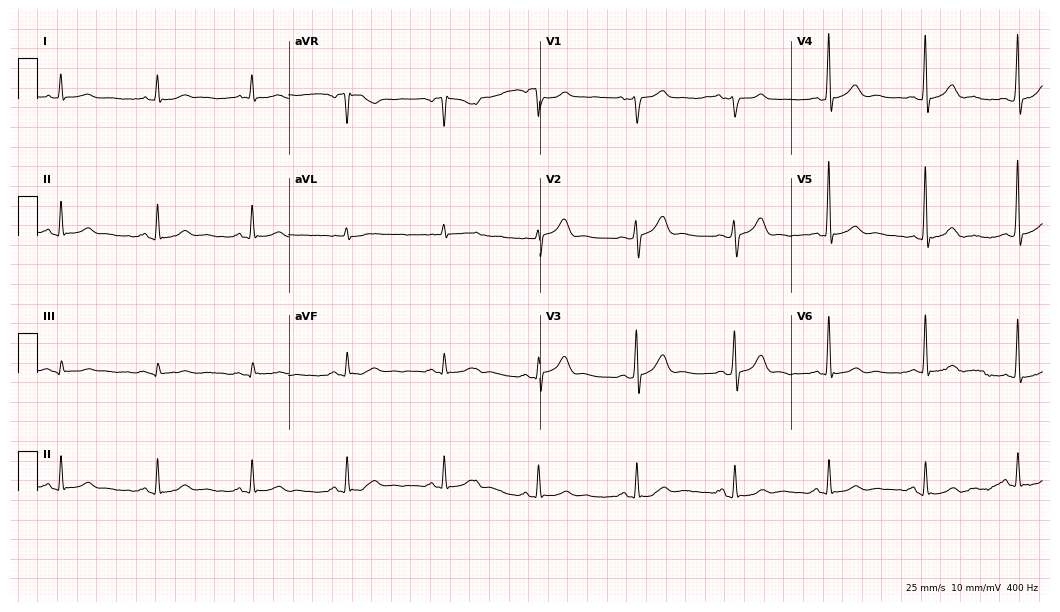
12-lead ECG from a 75-year-old man (10.2-second recording at 400 Hz). Recorded interpretation: within normal limits.